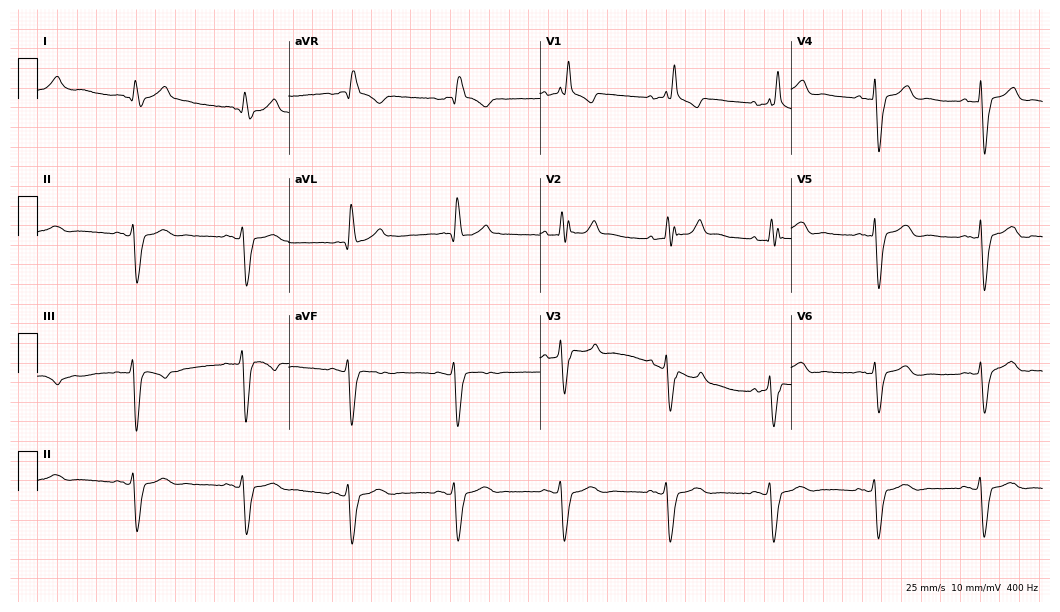
12-lead ECG from an 83-year-old male (10.2-second recording at 400 Hz). Shows right bundle branch block.